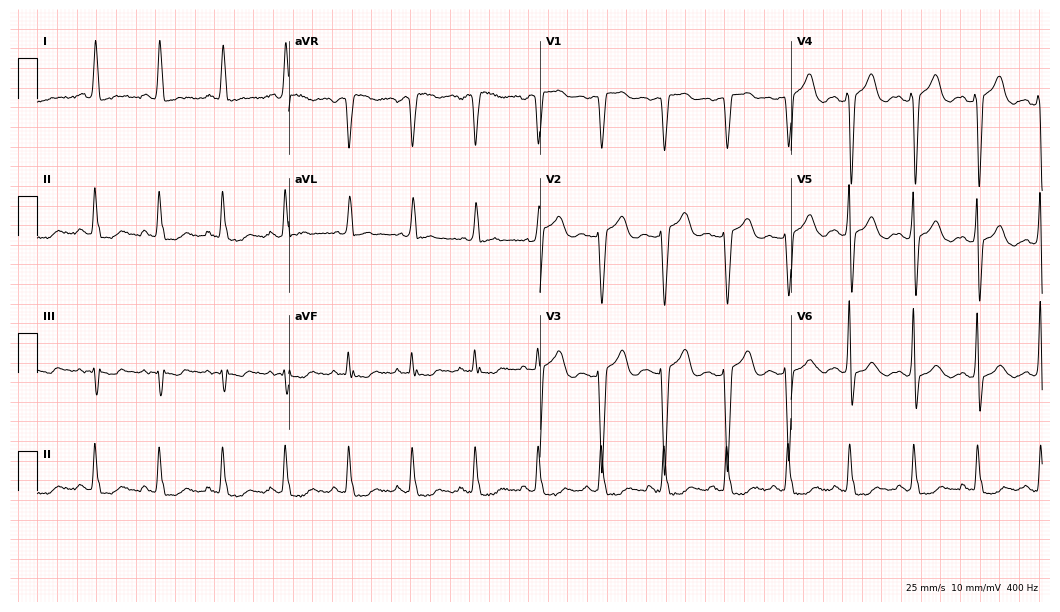
12-lead ECG from a female patient, 64 years old (10.2-second recording at 400 Hz). No first-degree AV block, right bundle branch block, left bundle branch block, sinus bradycardia, atrial fibrillation or sinus tachycardia recorded for this tracing.